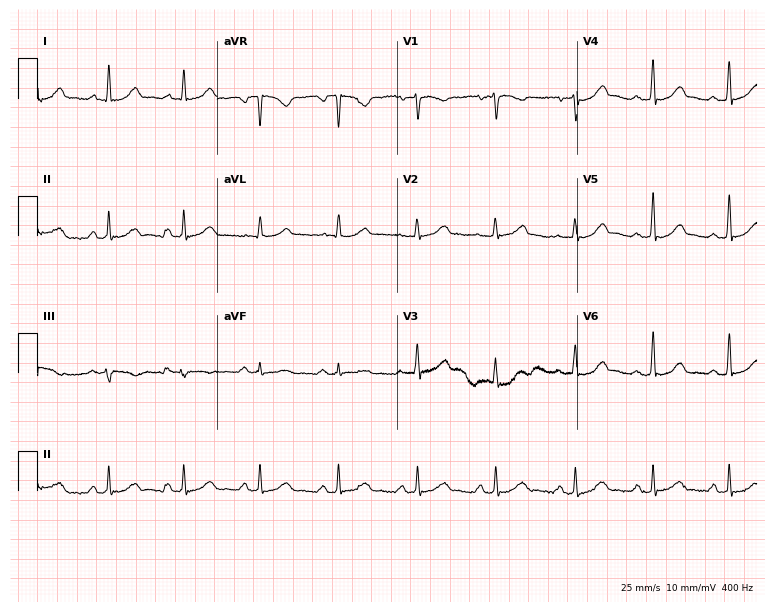
Resting 12-lead electrocardiogram. Patient: a man, 51 years old. Read as a normal ECG.